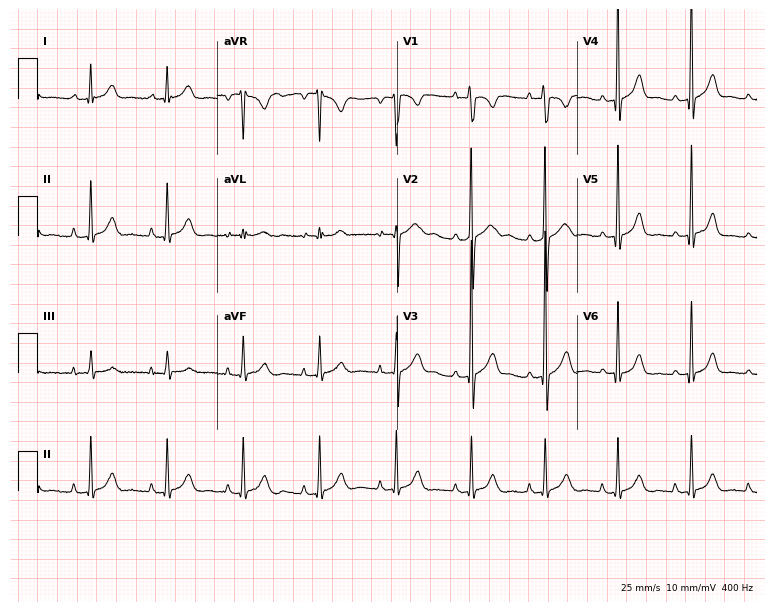
ECG (7.3-second recording at 400 Hz) — a 17-year-old male patient. Labelled as a normal ECG.